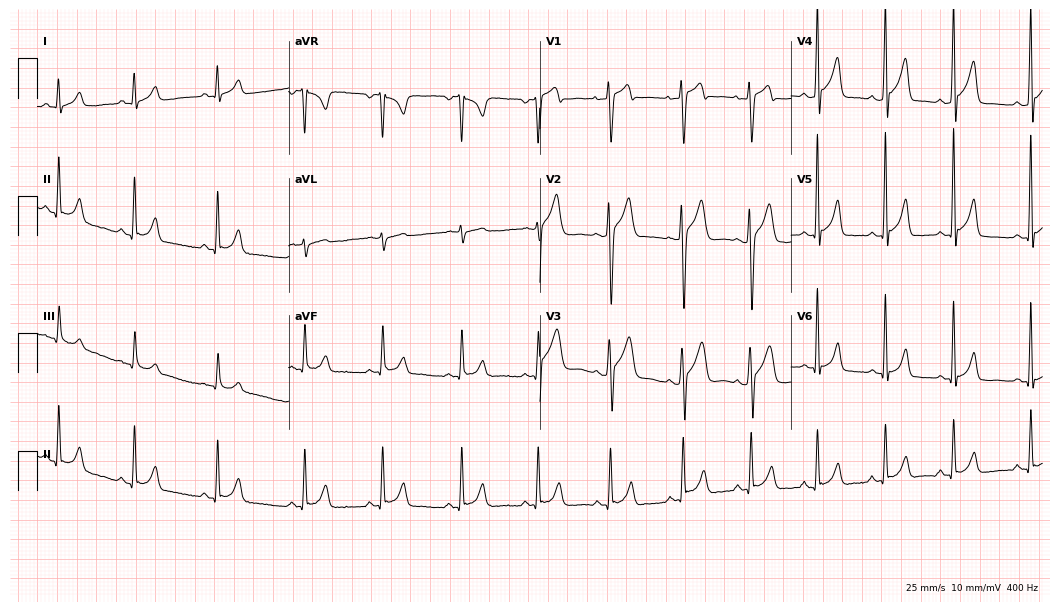
Electrocardiogram (10.2-second recording at 400 Hz), a male patient, 25 years old. Overall reading on record: normal ECG.